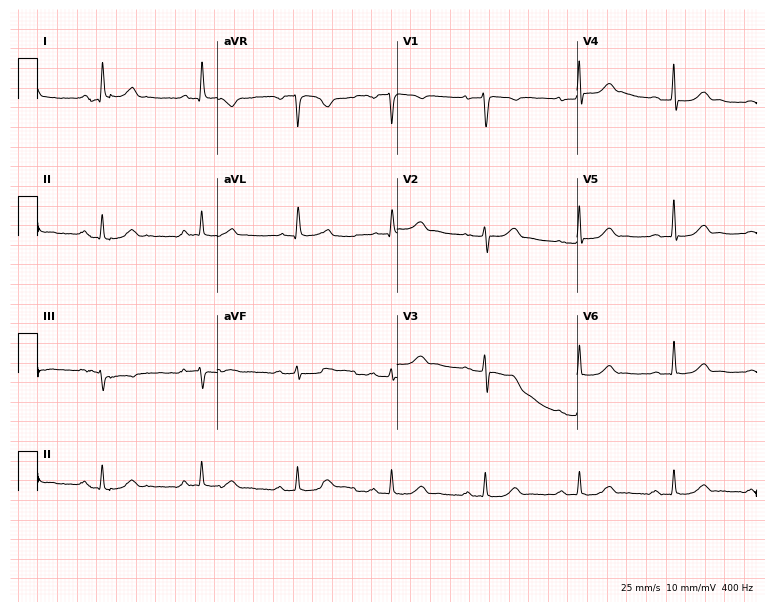
Standard 12-lead ECG recorded from a 53-year-old female patient. None of these six findings is recorded: first-degree AV block, right bundle branch block (RBBB), left bundle branch block (LBBB), sinus bradycardia, atrial fibrillation (AF), sinus tachycardia. Only these six findings were labelled.